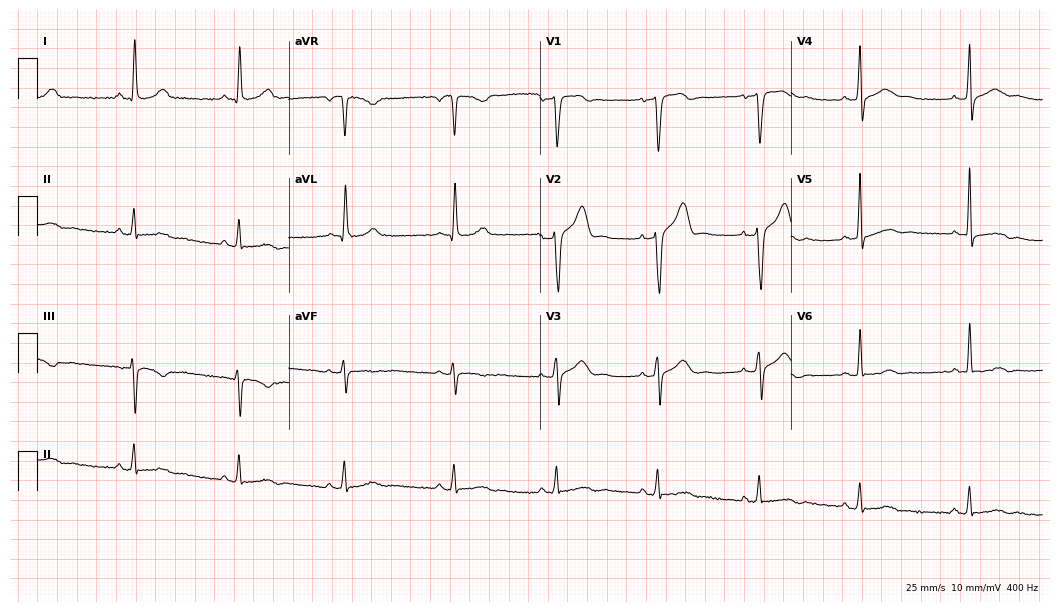
ECG — a man, 48 years old. Labelled as a normal ECG.